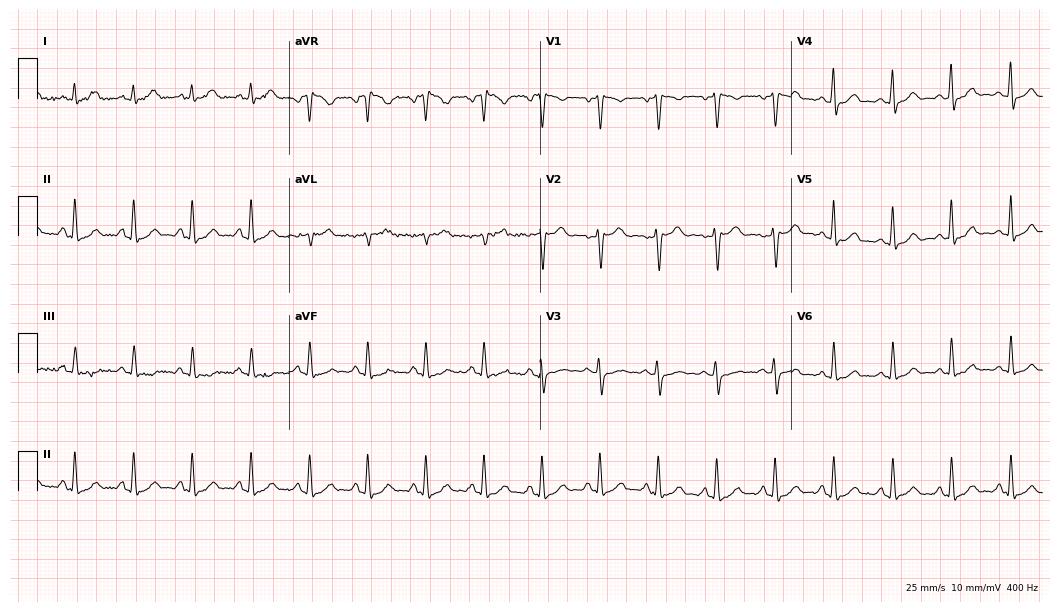
12-lead ECG (10.2-second recording at 400 Hz) from a 24-year-old woman. Findings include sinus tachycardia (a sinus rate of 100 beats per minute or more).